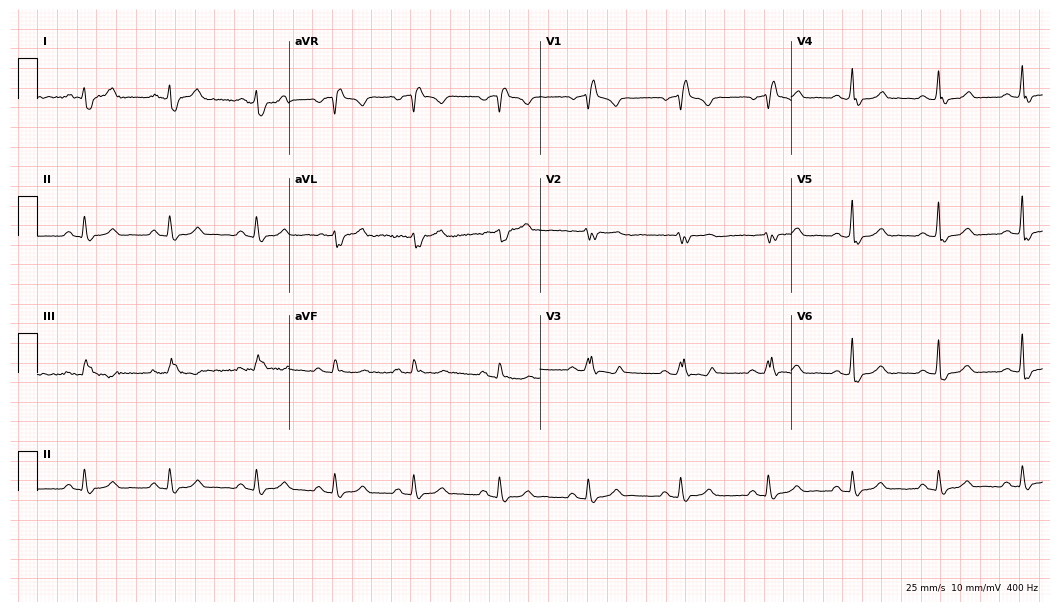
Standard 12-lead ECG recorded from a 59-year-old man. The tracing shows right bundle branch block.